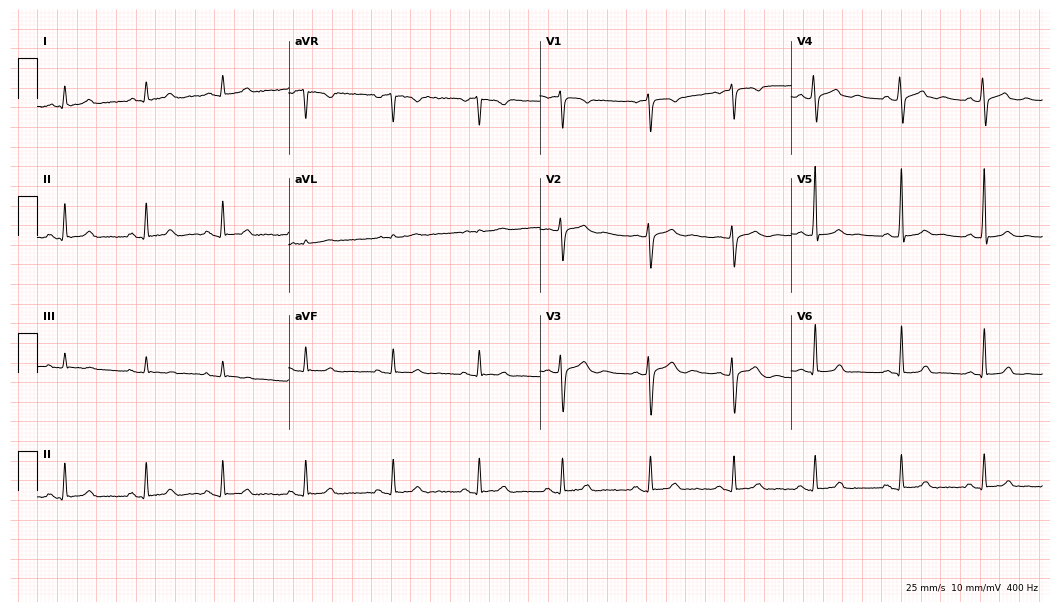
Standard 12-lead ECG recorded from a 32-year-old woman. None of these six findings is recorded: first-degree AV block, right bundle branch block (RBBB), left bundle branch block (LBBB), sinus bradycardia, atrial fibrillation (AF), sinus tachycardia. Findings outside these six are not listed.